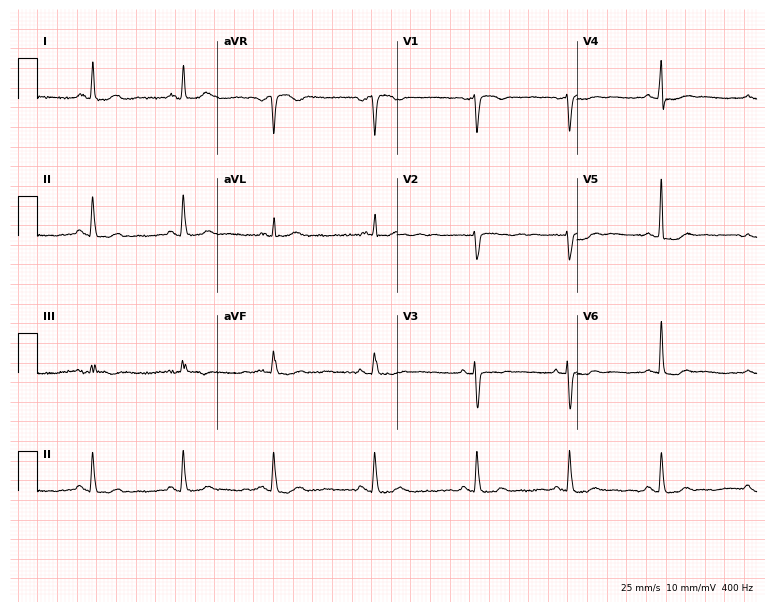
Standard 12-lead ECG recorded from a 39-year-old female patient (7.3-second recording at 400 Hz). Read as a normal ECG.